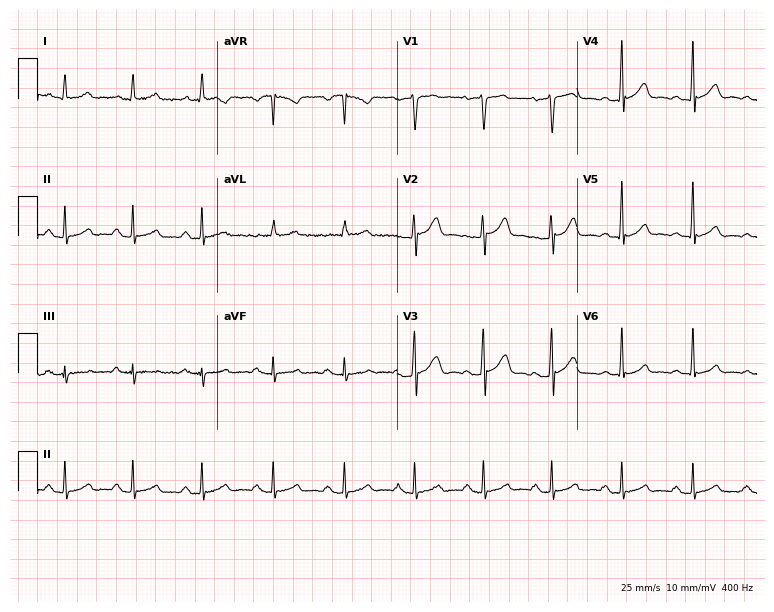
ECG (7.3-second recording at 400 Hz) — a male patient, 38 years old. Labelled as a normal ECG.